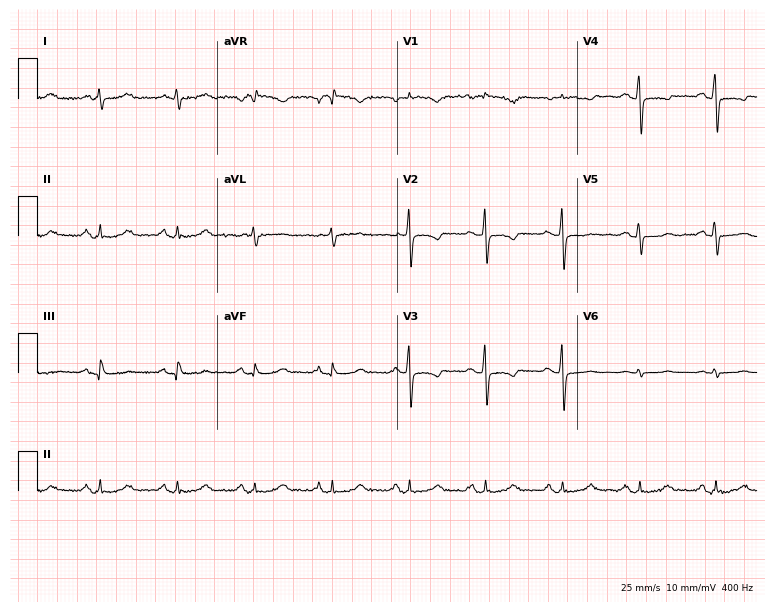
Electrocardiogram, a 66-year-old woman. Of the six screened findings (first-degree AV block, right bundle branch block, left bundle branch block, sinus bradycardia, atrial fibrillation, sinus tachycardia), none is recorded. Only these six findings were labelled.